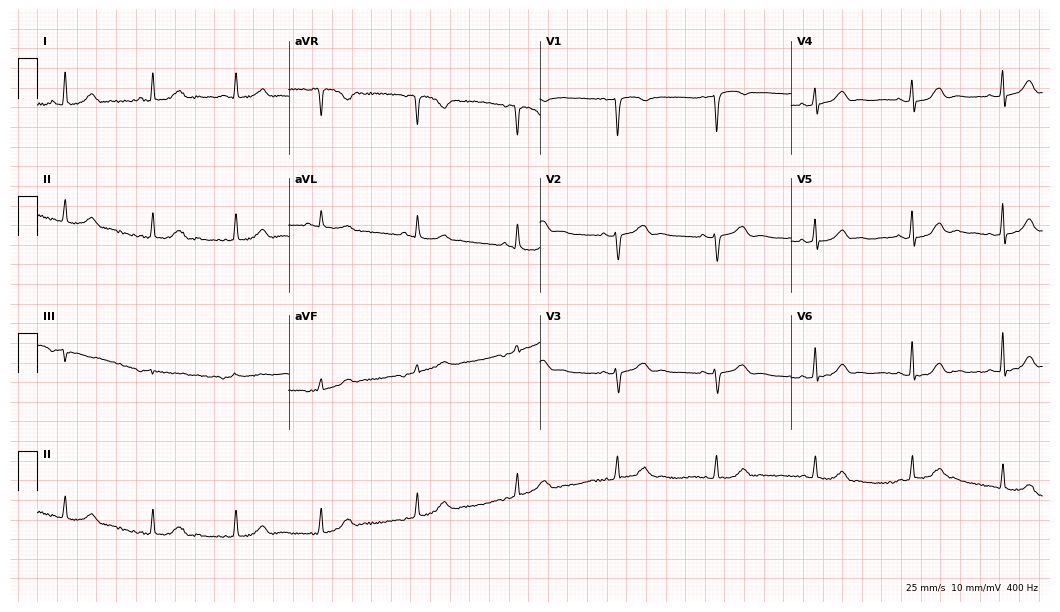
Electrocardiogram, a 63-year-old woman. Of the six screened findings (first-degree AV block, right bundle branch block, left bundle branch block, sinus bradycardia, atrial fibrillation, sinus tachycardia), none is recorded.